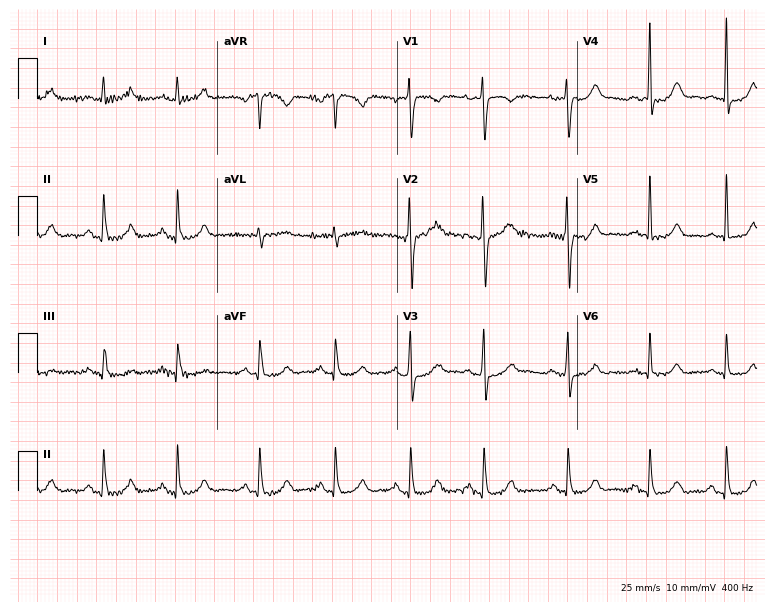
12-lead ECG from a 34-year-old female patient (7.3-second recording at 400 Hz). Recorded interpretation: within normal limits.